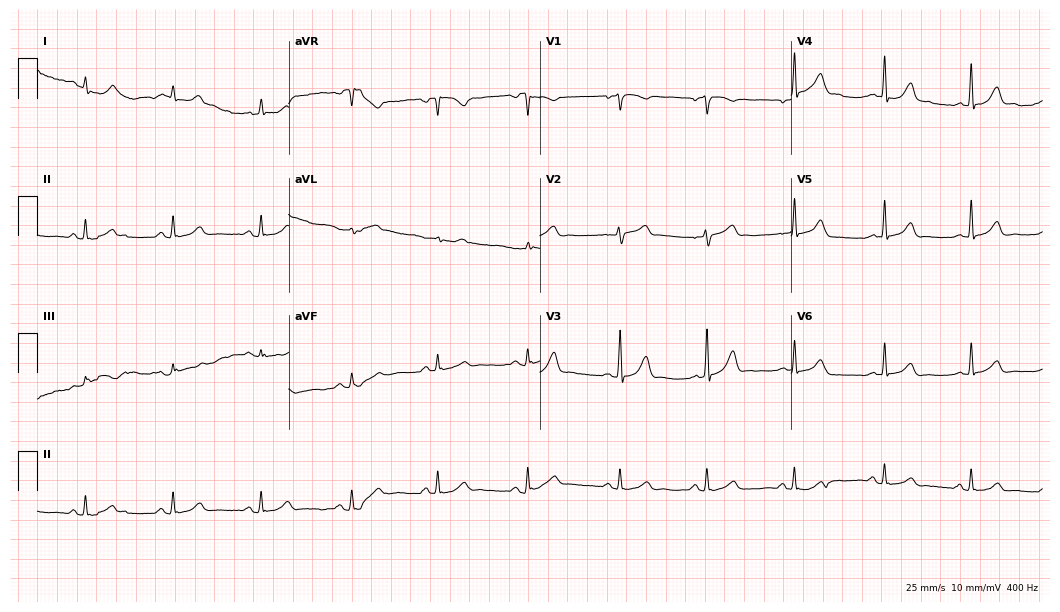
ECG (10.2-second recording at 400 Hz) — a 47-year-old female patient. Screened for six findings — first-degree AV block, right bundle branch block, left bundle branch block, sinus bradycardia, atrial fibrillation, sinus tachycardia — none is recorded. Other findings, if any, are not listed.